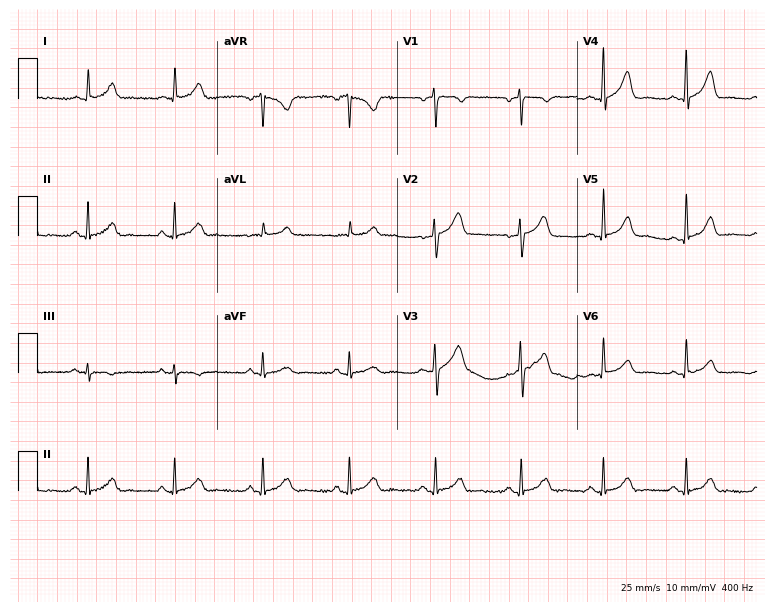
Electrocardiogram (7.3-second recording at 400 Hz), a man, 41 years old. Of the six screened findings (first-degree AV block, right bundle branch block, left bundle branch block, sinus bradycardia, atrial fibrillation, sinus tachycardia), none is recorded. Other findings, if any, are not listed.